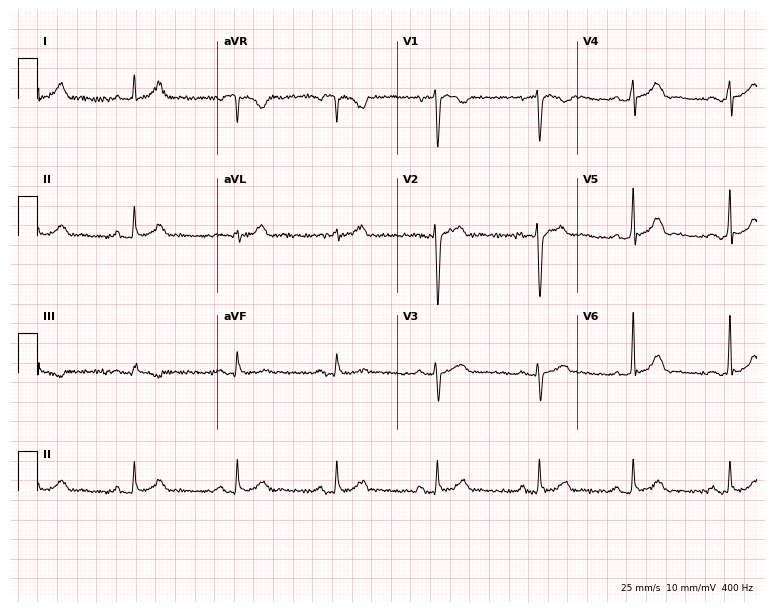
12-lead ECG from a 39-year-old male patient (7.3-second recording at 400 Hz). Recorded interpretation: within normal limits.